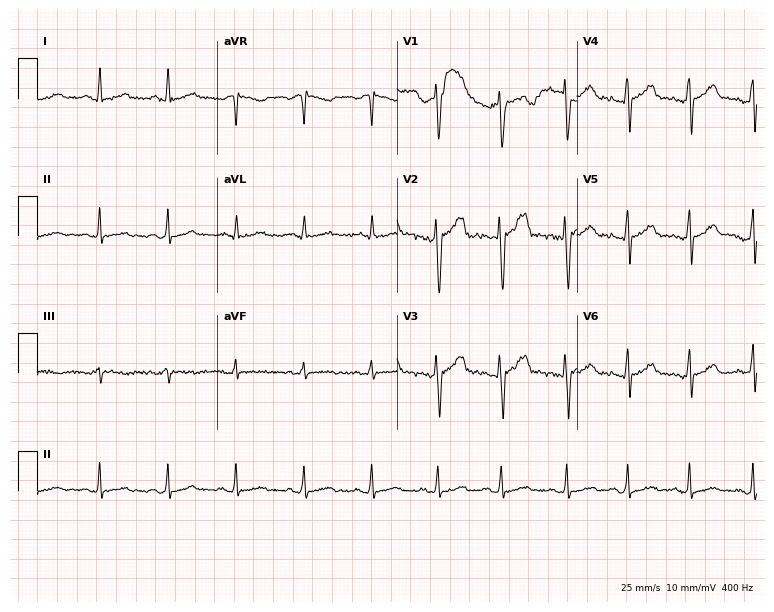
Standard 12-lead ECG recorded from a 25-year-old male patient (7.3-second recording at 400 Hz). Read as a normal ECG.